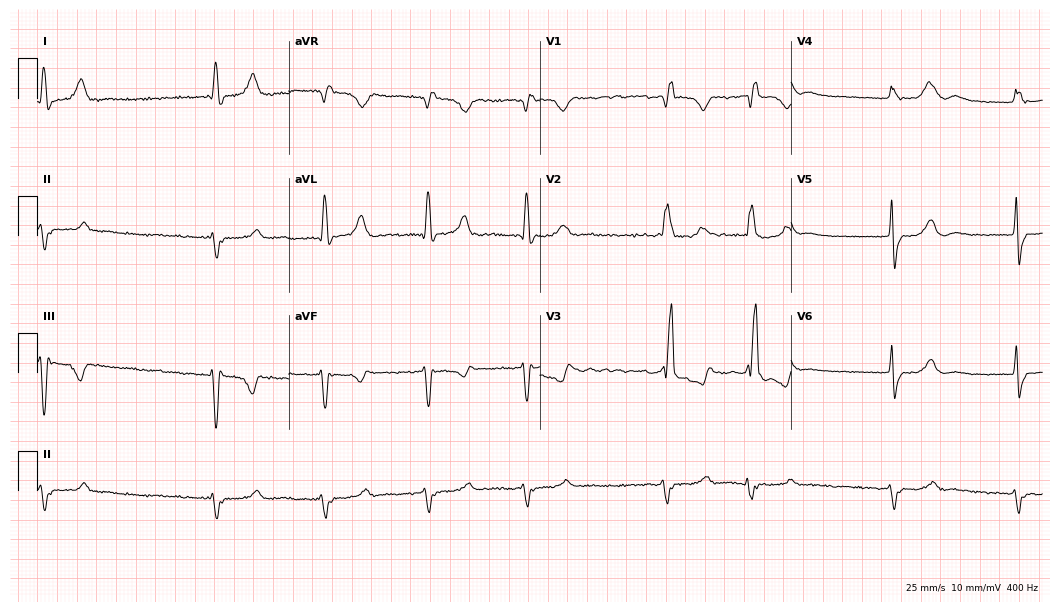
12-lead ECG (10.2-second recording at 400 Hz) from an 85-year-old female. Findings include right bundle branch block (RBBB), atrial fibrillation (AF).